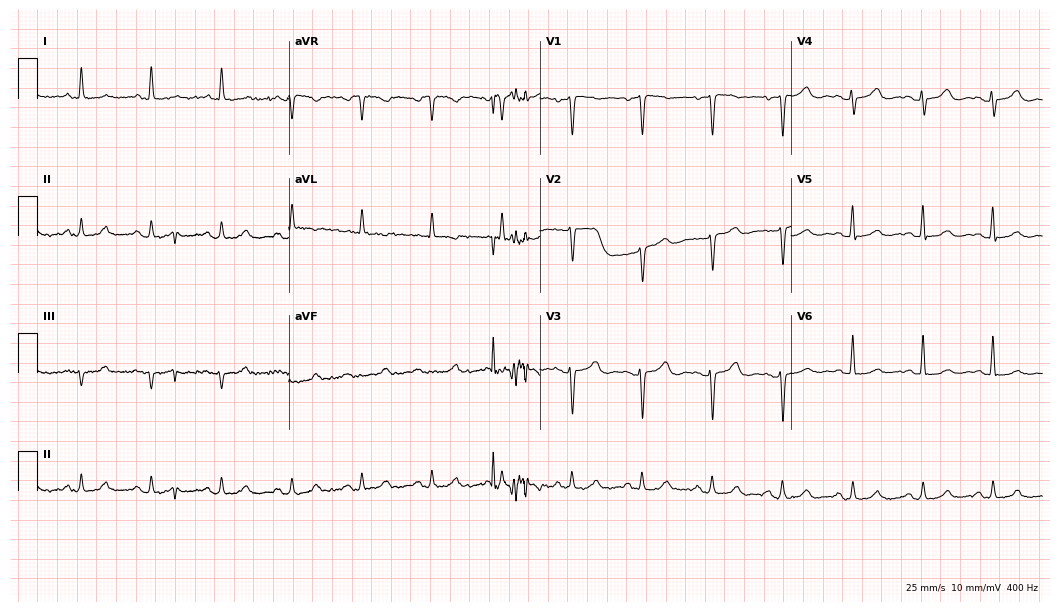
12-lead ECG from a 62-year-old woman. Screened for six findings — first-degree AV block, right bundle branch block, left bundle branch block, sinus bradycardia, atrial fibrillation, sinus tachycardia — none is recorded.